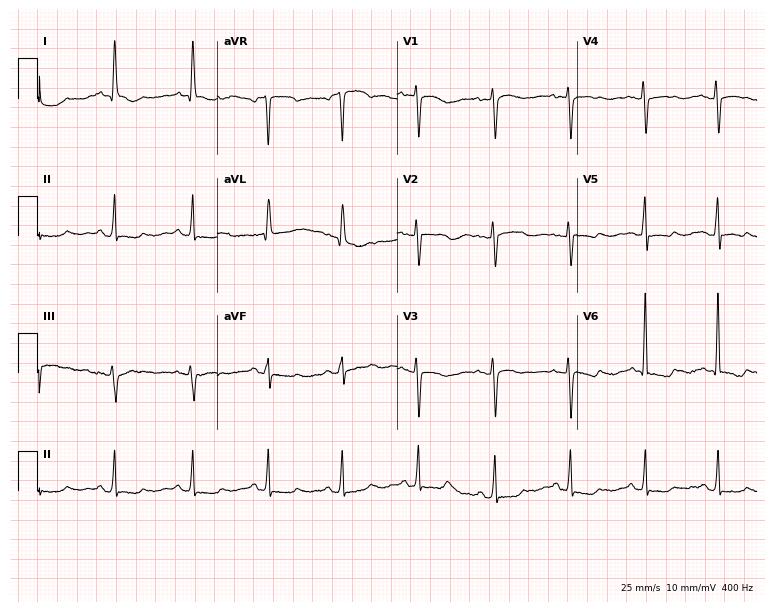
Electrocardiogram, a 53-year-old female patient. Of the six screened findings (first-degree AV block, right bundle branch block (RBBB), left bundle branch block (LBBB), sinus bradycardia, atrial fibrillation (AF), sinus tachycardia), none is recorded.